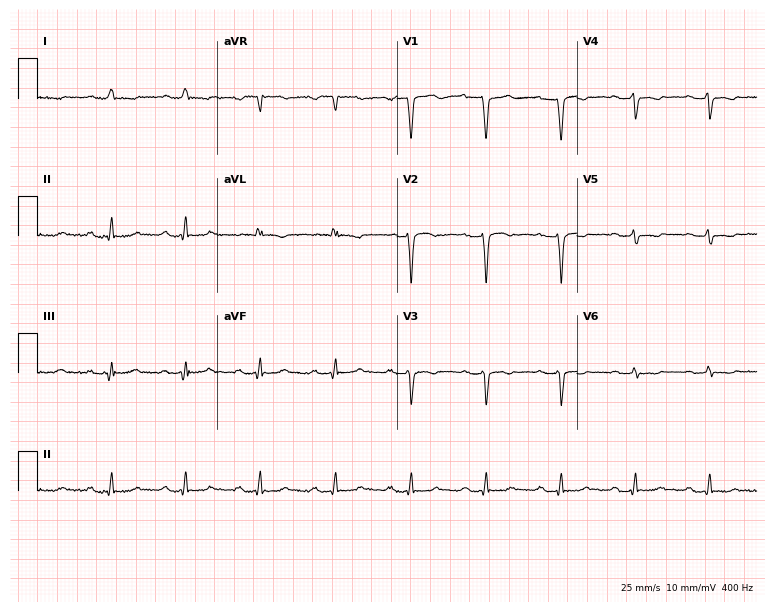
Resting 12-lead electrocardiogram (7.3-second recording at 400 Hz). Patient: a 52-year-old female. The tracing shows first-degree AV block.